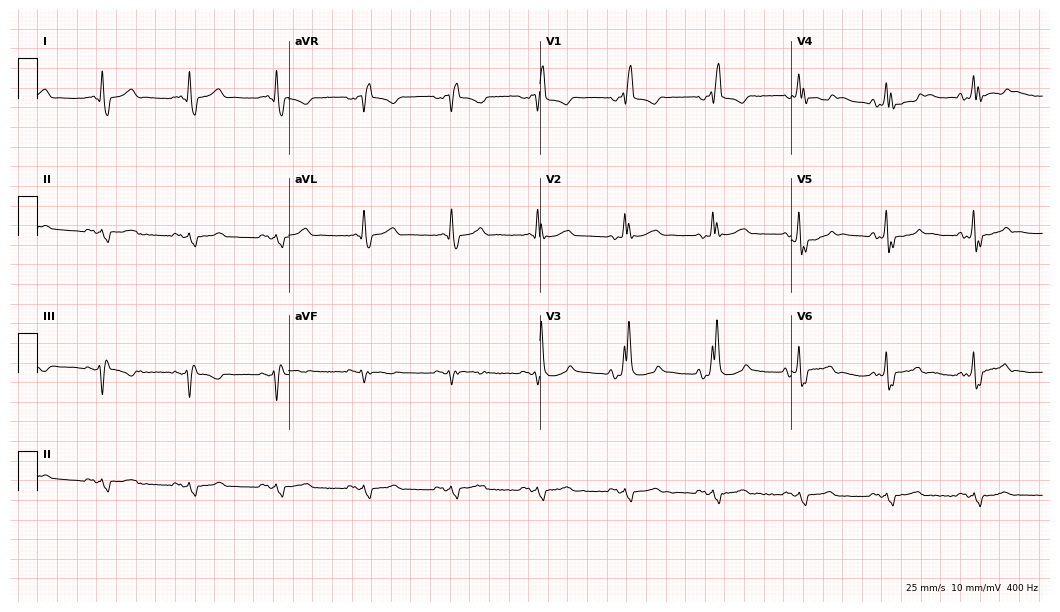
Resting 12-lead electrocardiogram (10.2-second recording at 400 Hz). Patient: a 67-year-old man. None of these six findings is recorded: first-degree AV block, right bundle branch block, left bundle branch block, sinus bradycardia, atrial fibrillation, sinus tachycardia. Findings outside these six are not listed.